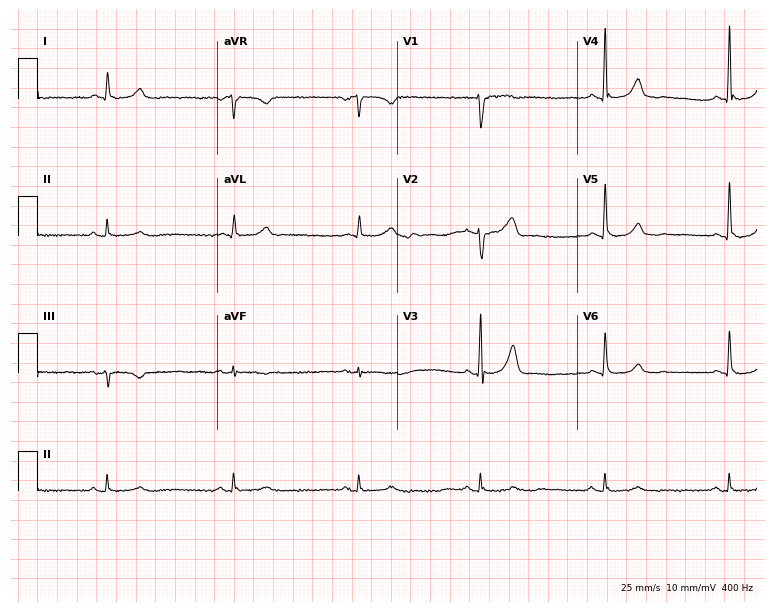
Standard 12-lead ECG recorded from a male patient, 76 years old (7.3-second recording at 400 Hz). None of these six findings is recorded: first-degree AV block, right bundle branch block (RBBB), left bundle branch block (LBBB), sinus bradycardia, atrial fibrillation (AF), sinus tachycardia.